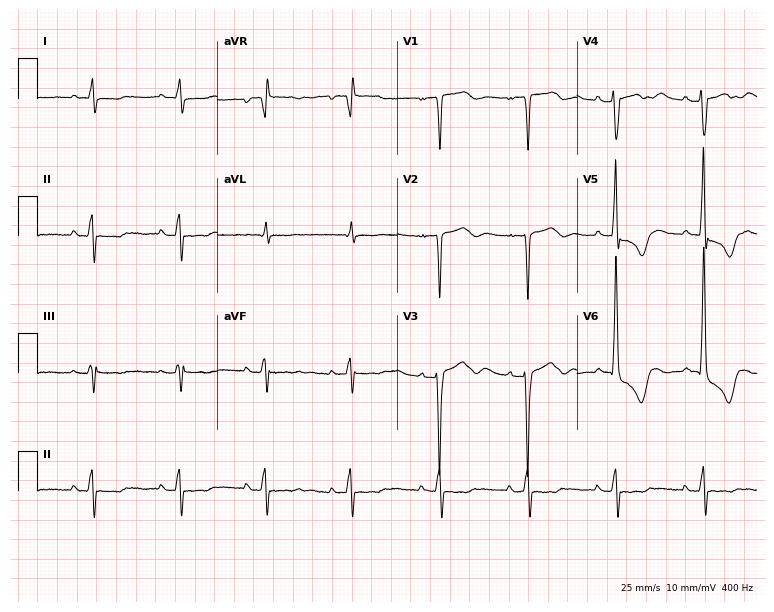
12-lead ECG (7.3-second recording at 400 Hz) from a 72-year-old female. Screened for six findings — first-degree AV block, right bundle branch block, left bundle branch block, sinus bradycardia, atrial fibrillation, sinus tachycardia — none is recorded. Only these six findings were labelled.